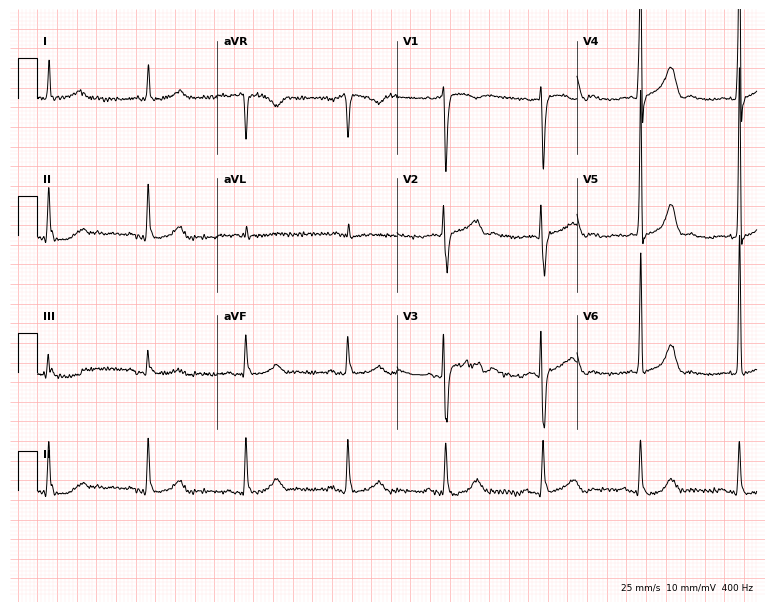
ECG (7.3-second recording at 400 Hz) — a woman, 82 years old. Labelled as a normal ECG.